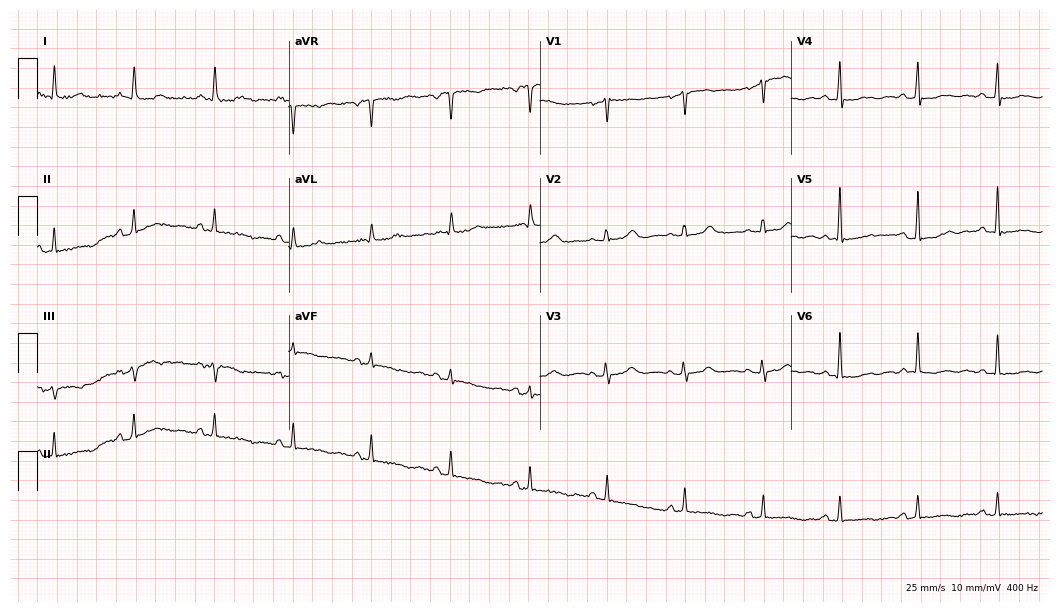
Electrocardiogram, a 62-year-old female patient. Of the six screened findings (first-degree AV block, right bundle branch block, left bundle branch block, sinus bradycardia, atrial fibrillation, sinus tachycardia), none is recorded. Only these six findings were labelled.